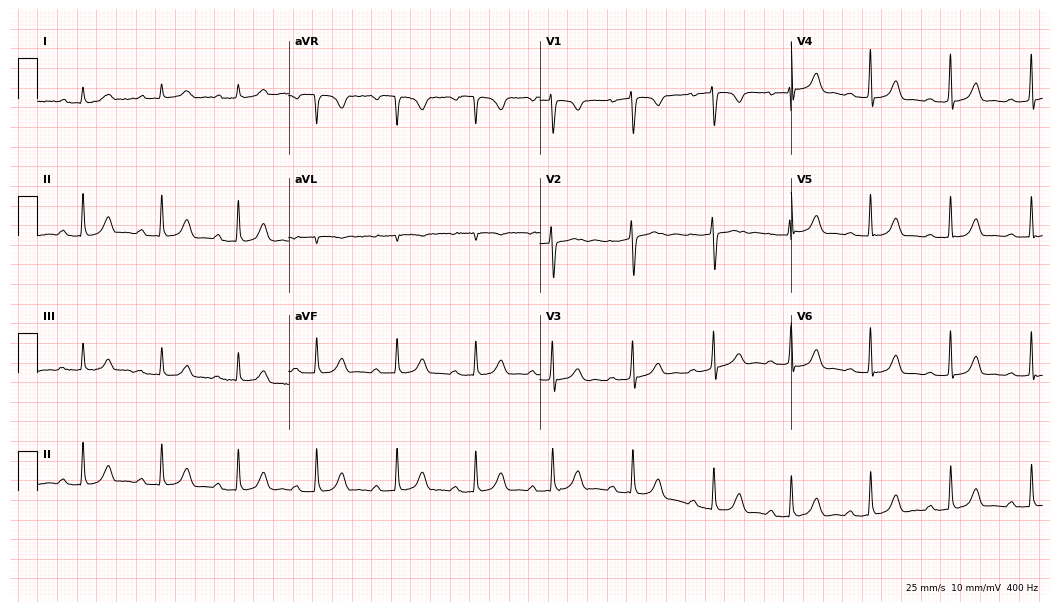
Resting 12-lead electrocardiogram (10.2-second recording at 400 Hz). Patient: a female, 17 years old. The tracing shows first-degree AV block.